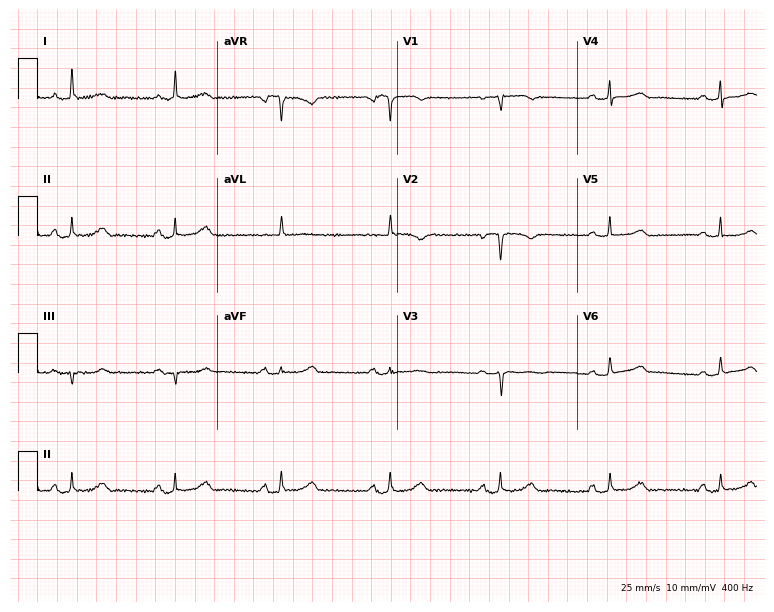
Standard 12-lead ECG recorded from a female, 81 years old (7.3-second recording at 400 Hz). None of these six findings is recorded: first-degree AV block, right bundle branch block (RBBB), left bundle branch block (LBBB), sinus bradycardia, atrial fibrillation (AF), sinus tachycardia. Findings outside these six are not listed.